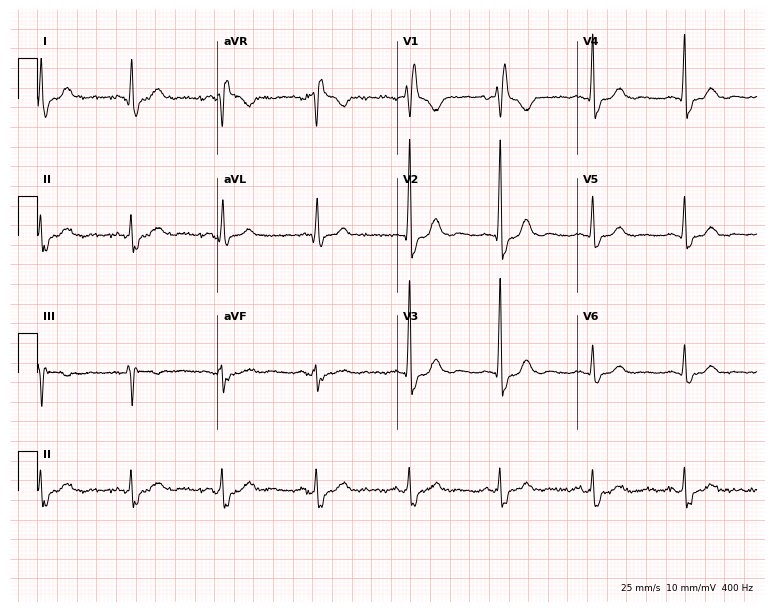
Resting 12-lead electrocardiogram (7.3-second recording at 400 Hz). Patient: a female, 51 years old. The tracing shows right bundle branch block.